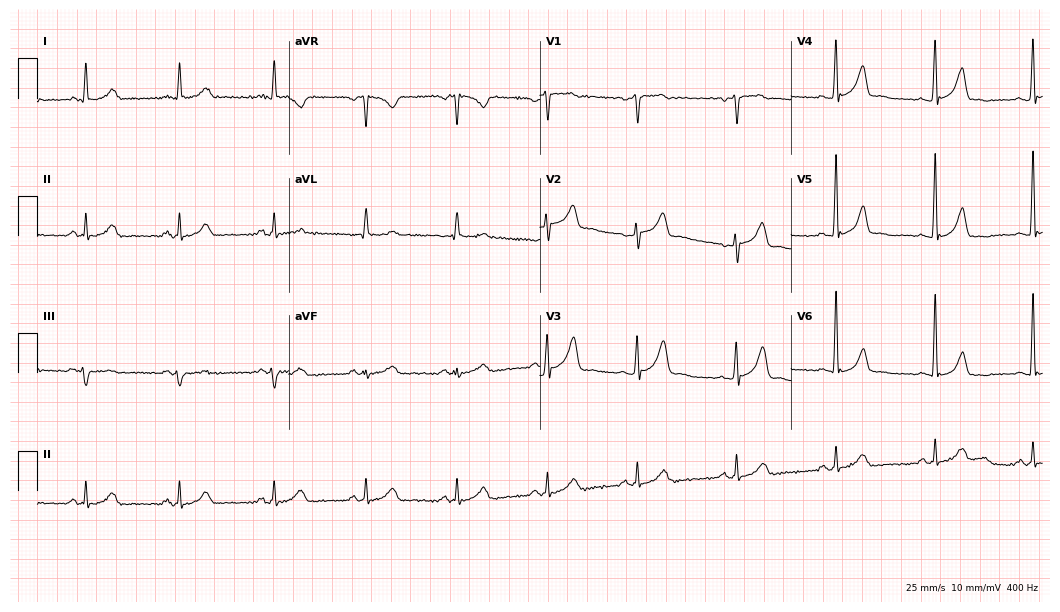
Standard 12-lead ECG recorded from a man, 55 years old. Read as a normal ECG.